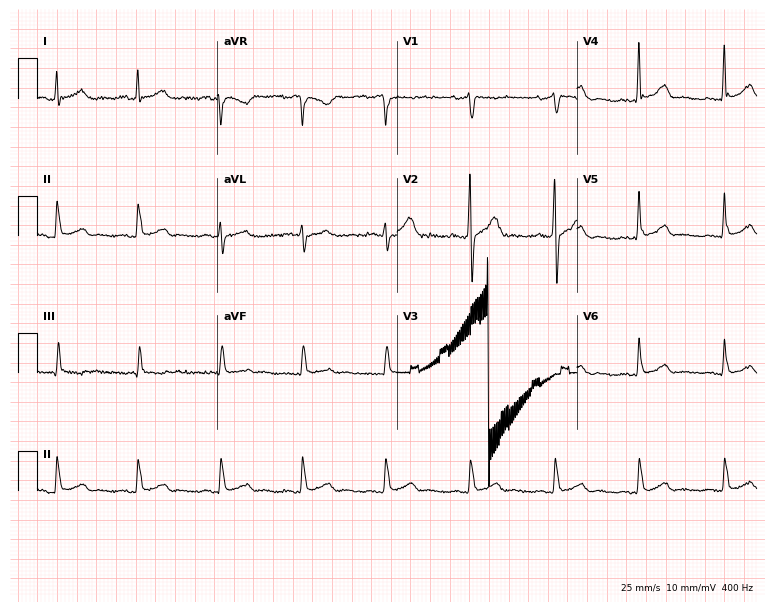
12-lead ECG (7.3-second recording at 400 Hz) from a male patient, 70 years old. Screened for six findings — first-degree AV block, right bundle branch block (RBBB), left bundle branch block (LBBB), sinus bradycardia, atrial fibrillation (AF), sinus tachycardia — none is recorded. Other findings, if any, are not listed.